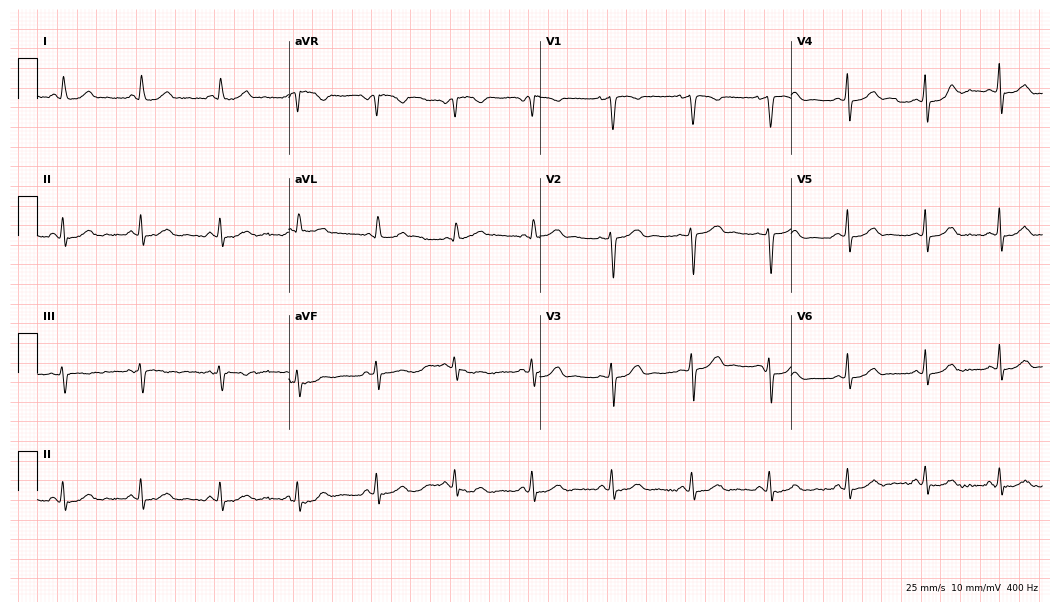
12-lead ECG from a woman, 37 years old (10.2-second recording at 400 Hz). No first-degree AV block, right bundle branch block, left bundle branch block, sinus bradycardia, atrial fibrillation or sinus tachycardia recorded for this tracing. Other findings, if any, are not listed.